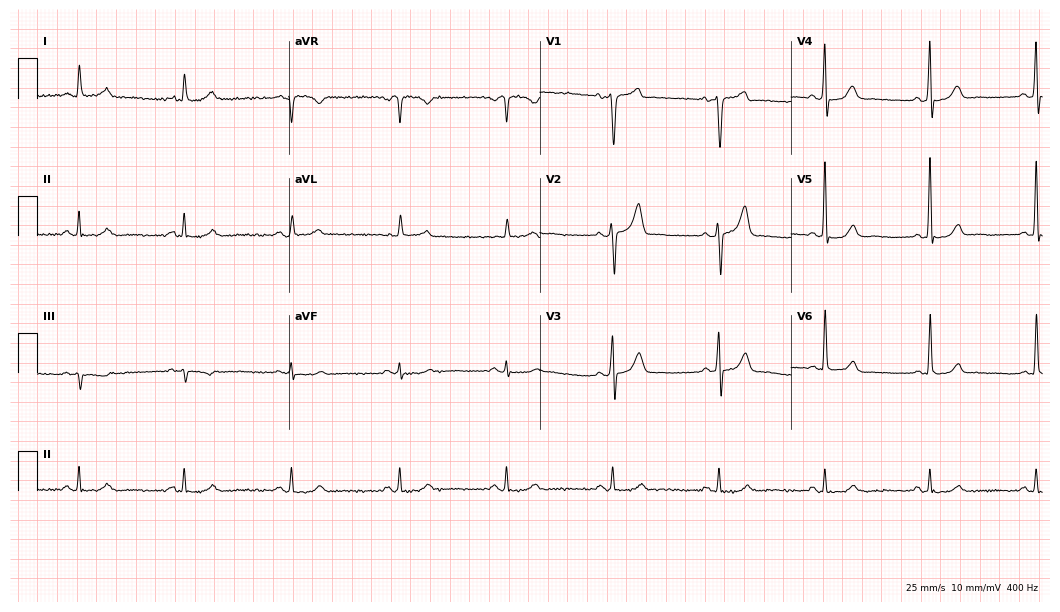
12-lead ECG from a male, 68 years old. Recorded interpretation: within normal limits.